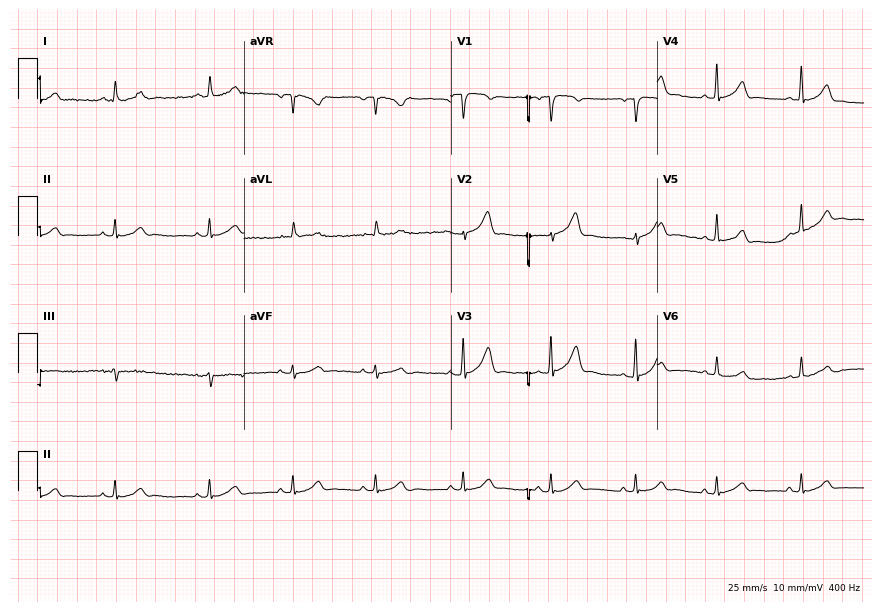
Resting 12-lead electrocardiogram (8.4-second recording at 400 Hz). Patient: a male, 54 years old. Read as a normal ECG.